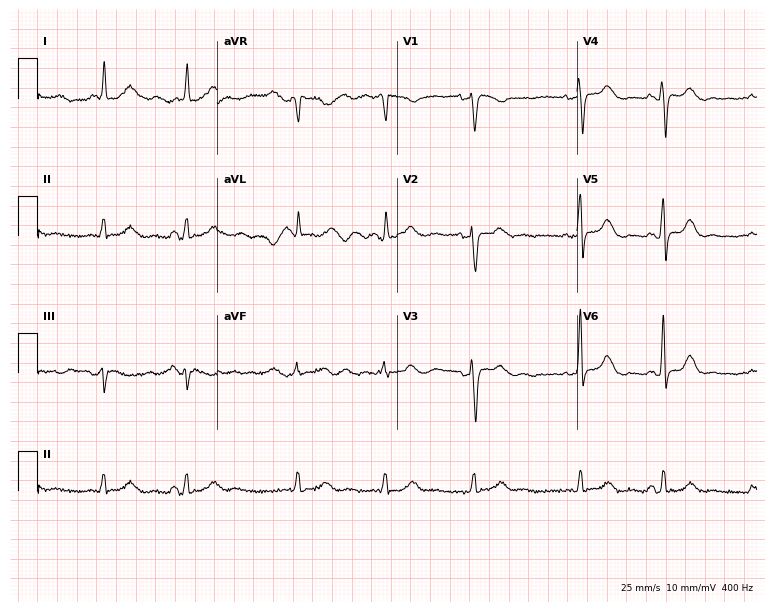
Standard 12-lead ECG recorded from a woman, 85 years old. None of these six findings is recorded: first-degree AV block, right bundle branch block, left bundle branch block, sinus bradycardia, atrial fibrillation, sinus tachycardia. Other findings, if any, are not listed.